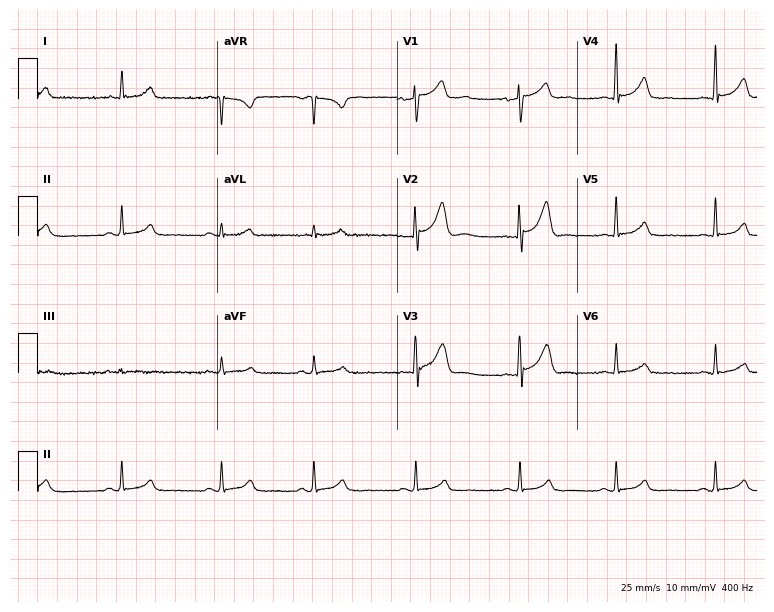
12-lead ECG (7.3-second recording at 400 Hz) from a 47-year-old male patient. Labelled as a normal ECG.